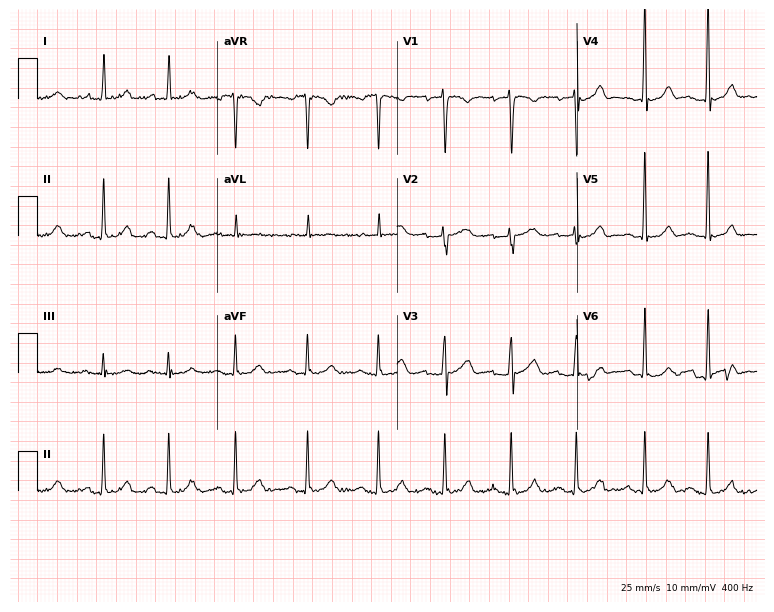
Standard 12-lead ECG recorded from a female, 39 years old (7.3-second recording at 400 Hz). Read as a normal ECG.